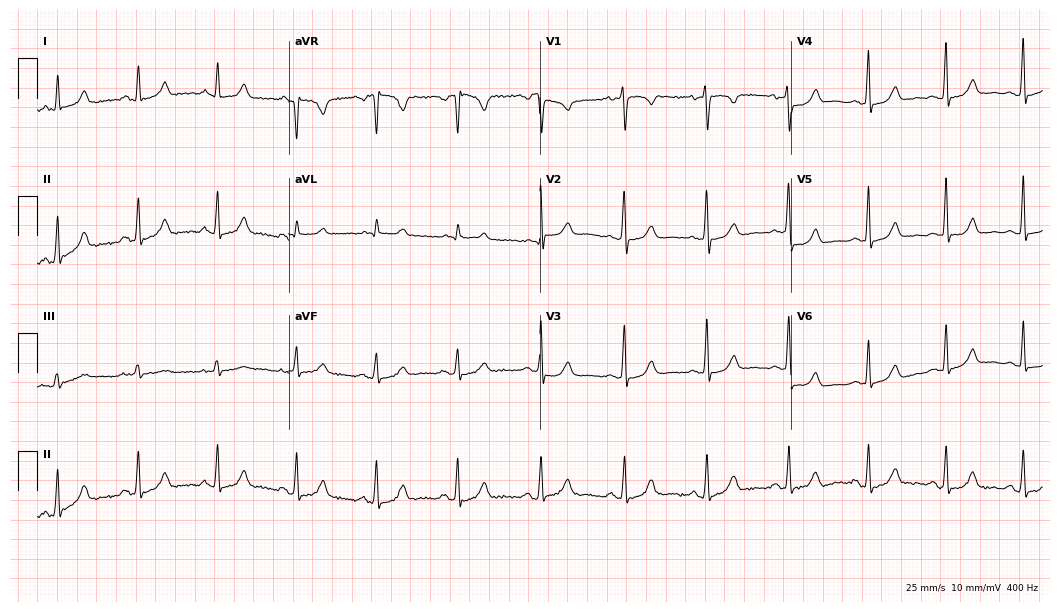
12-lead ECG from a 46-year-old female patient. Labelled as a normal ECG.